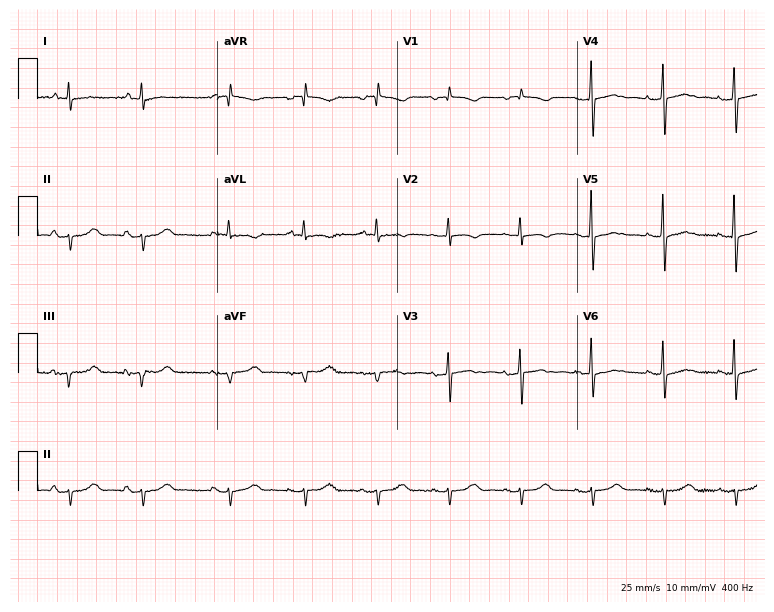
12-lead ECG from a 72-year-old female patient. No first-degree AV block, right bundle branch block, left bundle branch block, sinus bradycardia, atrial fibrillation or sinus tachycardia recorded for this tracing. Other findings, if any, are not listed.